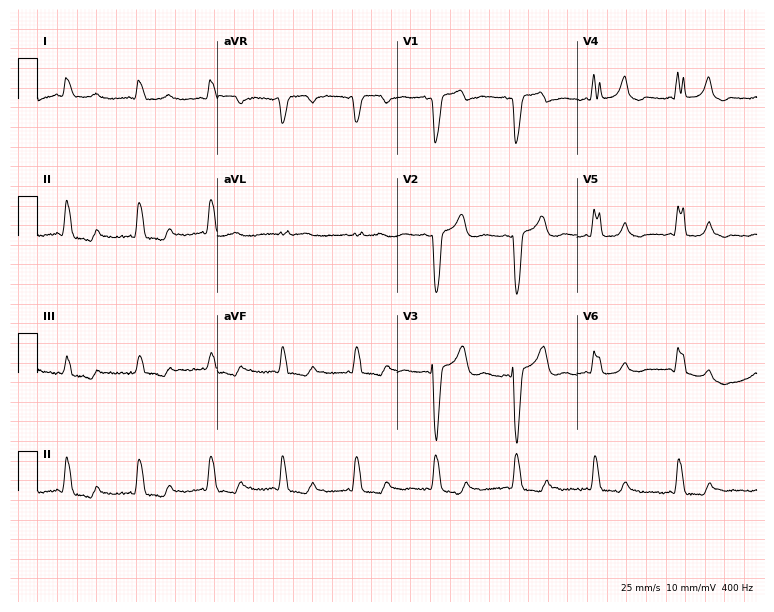
Resting 12-lead electrocardiogram (7.3-second recording at 400 Hz). Patient: a woman, 78 years old. None of these six findings is recorded: first-degree AV block, right bundle branch block, left bundle branch block, sinus bradycardia, atrial fibrillation, sinus tachycardia.